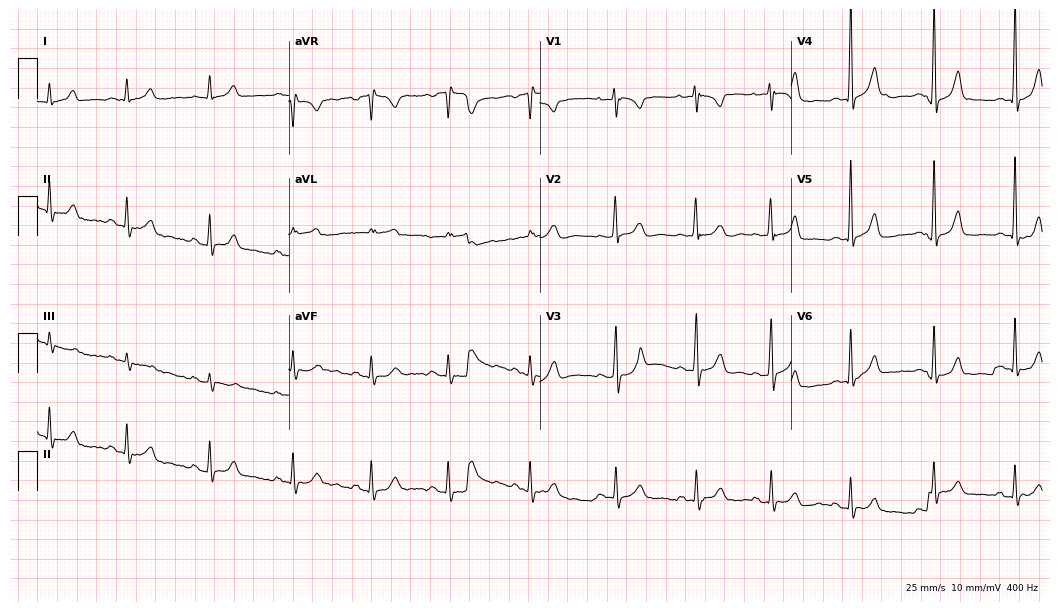
ECG (10.2-second recording at 400 Hz) — a woman, 26 years old. Labelled as a normal ECG.